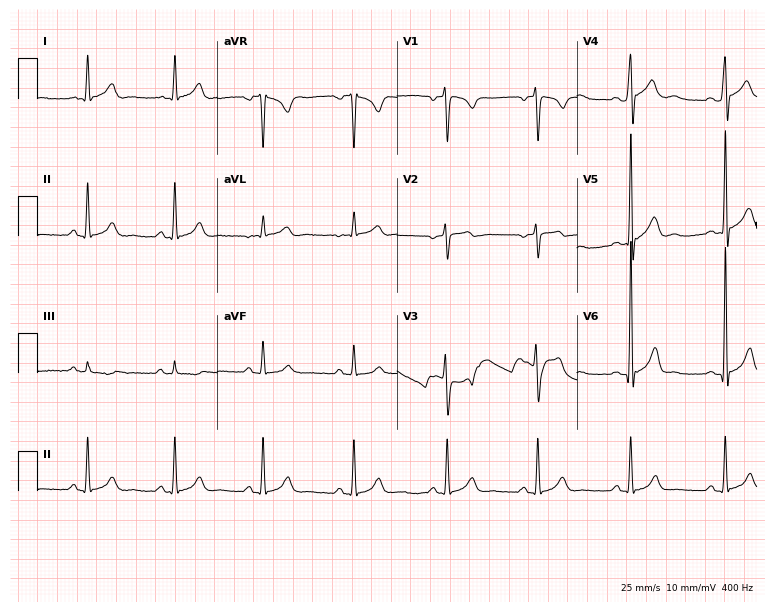
Electrocardiogram, a 26-year-old male patient. Of the six screened findings (first-degree AV block, right bundle branch block, left bundle branch block, sinus bradycardia, atrial fibrillation, sinus tachycardia), none is recorded.